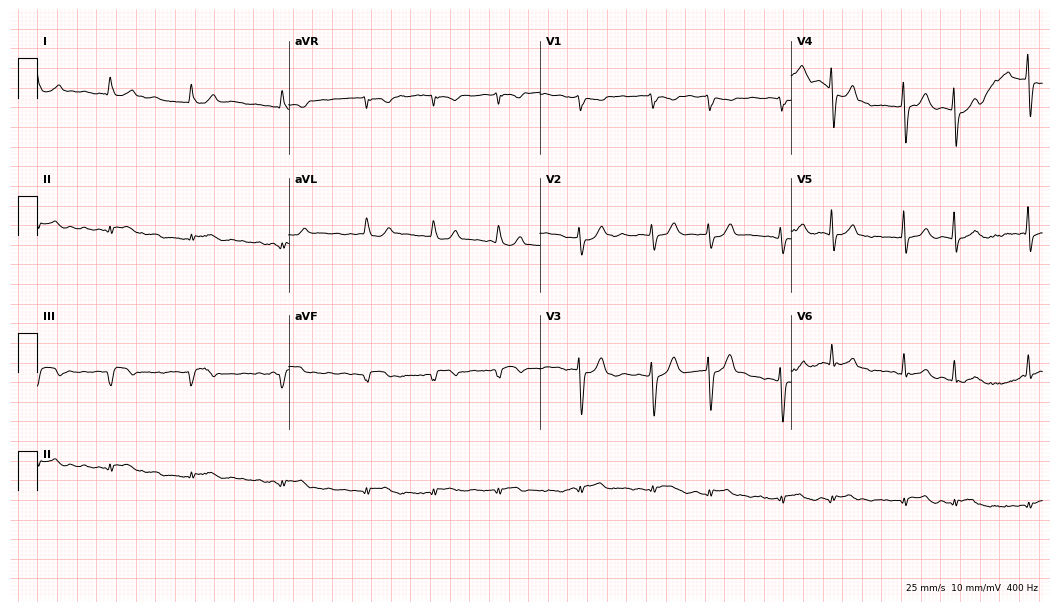
12-lead ECG (10.2-second recording at 400 Hz) from a 78-year-old male. Screened for six findings — first-degree AV block, right bundle branch block, left bundle branch block, sinus bradycardia, atrial fibrillation, sinus tachycardia — none is recorded. Findings outside these six are not listed.